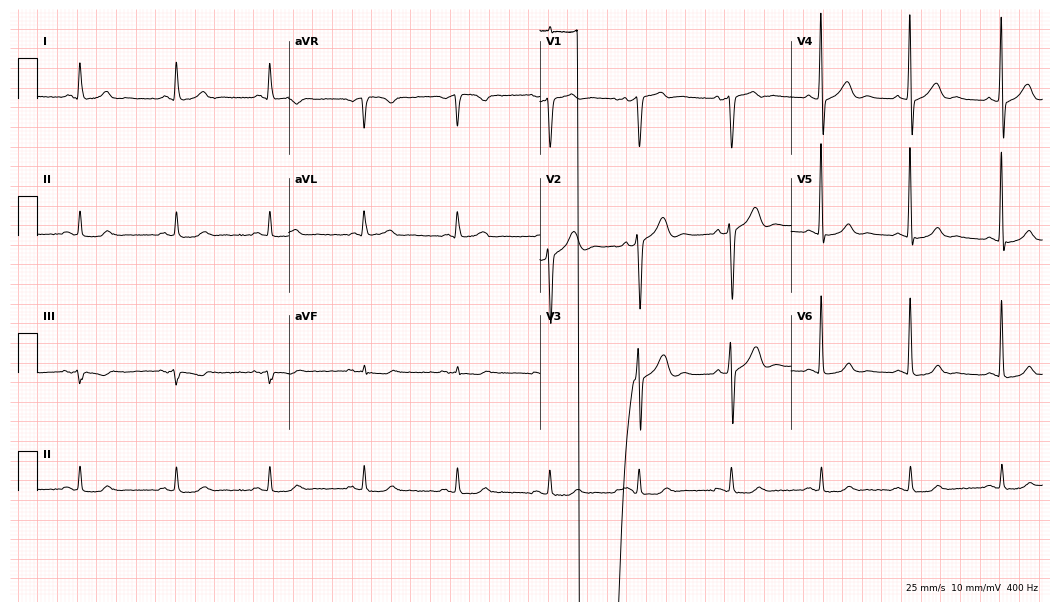
Electrocardiogram, a man, 47 years old. Of the six screened findings (first-degree AV block, right bundle branch block, left bundle branch block, sinus bradycardia, atrial fibrillation, sinus tachycardia), none is recorded. Other findings, if any, are not listed.